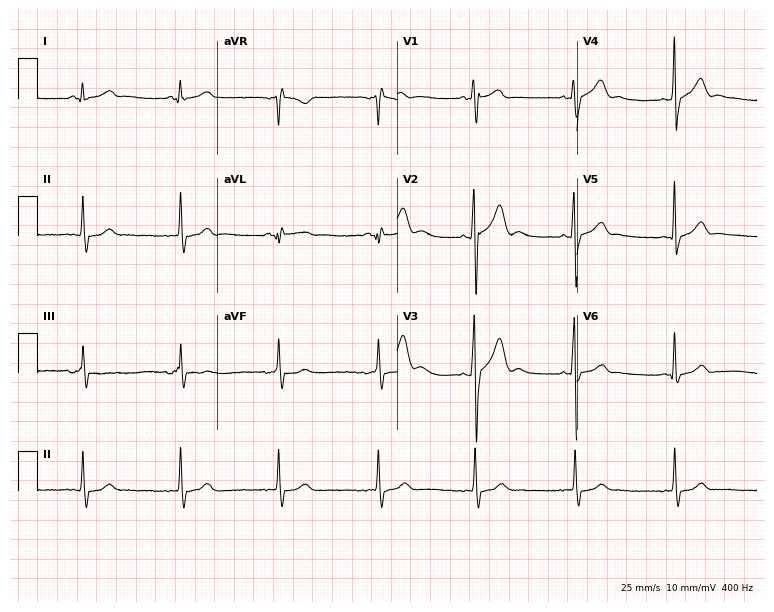
ECG (7.3-second recording at 400 Hz) — a male, 19 years old. Labelled as a normal ECG.